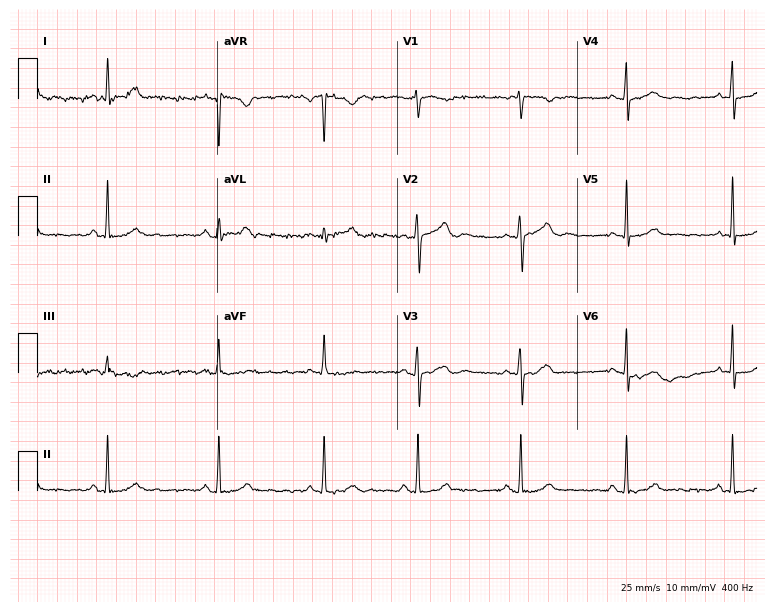
Resting 12-lead electrocardiogram. Patient: a female, 37 years old. Read as a normal ECG.